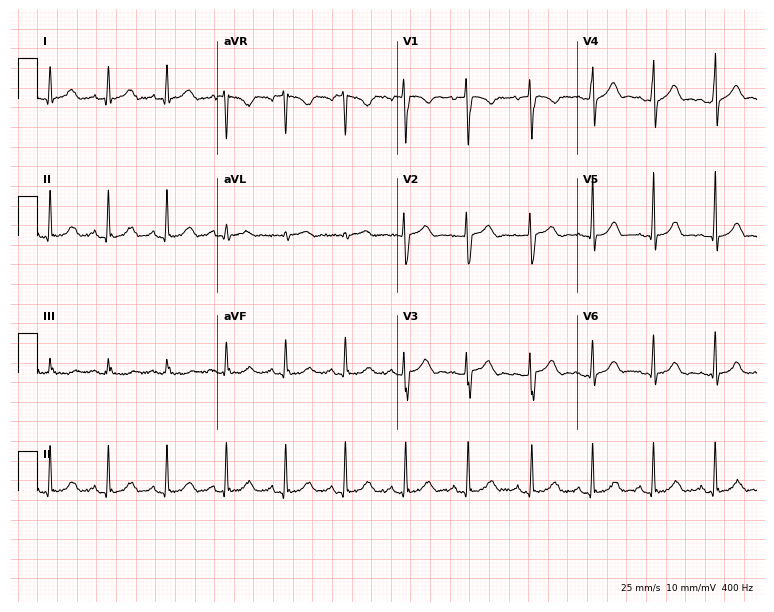
Standard 12-lead ECG recorded from a female, 24 years old (7.3-second recording at 400 Hz). None of these six findings is recorded: first-degree AV block, right bundle branch block, left bundle branch block, sinus bradycardia, atrial fibrillation, sinus tachycardia. Other findings, if any, are not listed.